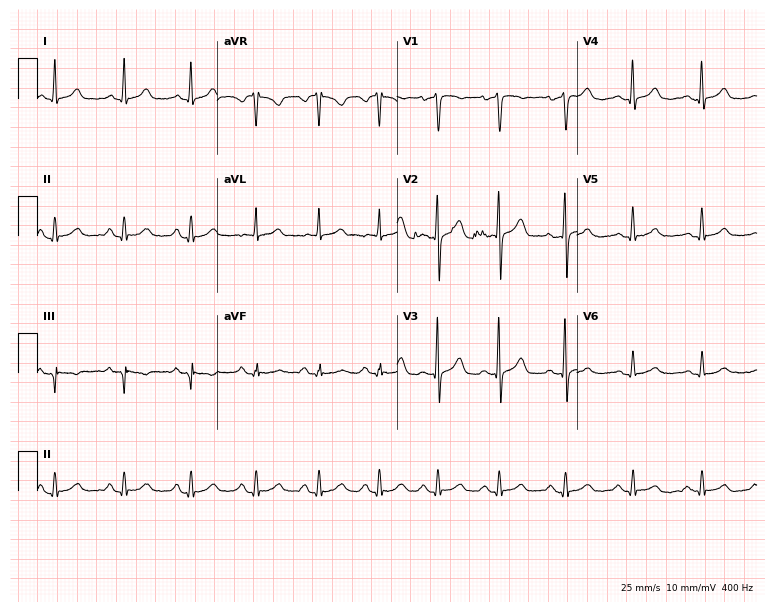
ECG (7.3-second recording at 400 Hz) — a female patient, 54 years old. Screened for six findings — first-degree AV block, right bundle branch block (RBBB), left bundle branch block (LBBB), sinus bradycardia, atrial fibrillation (AF), sinus tachycardia — none is recorded.